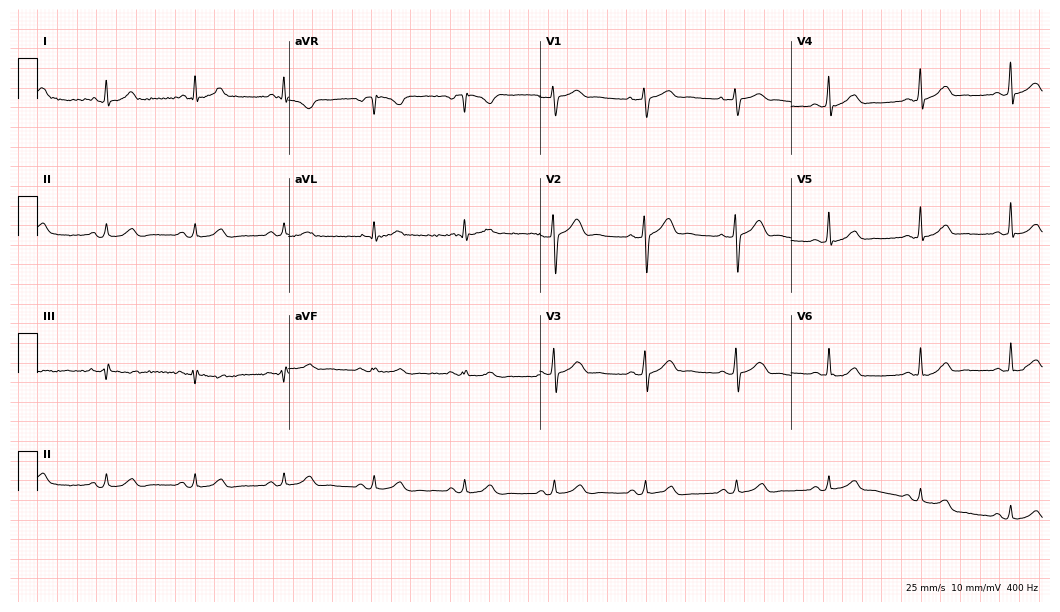
12-lead ECG (10.2-second recording at 400 Hz) from a 43-year-old male. Labelled as a normal ECG.